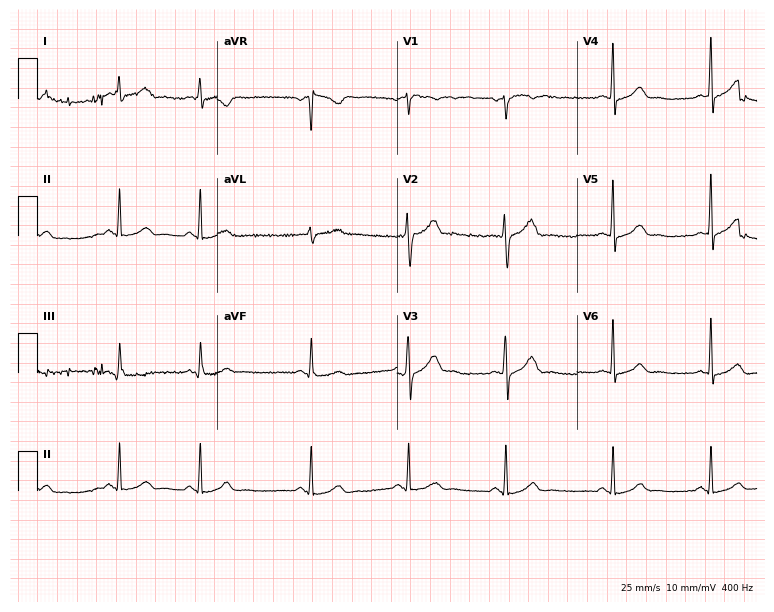
Standard 12-lead ECG recorded from a 39-year-old female patient. None of these six findings is recorded: first-degree AV block, right bundle branch block (RBBB), left bundle branch block (LBBB), sinus bradycardia, atrial fibrillation (AF), sinus tachycardia.